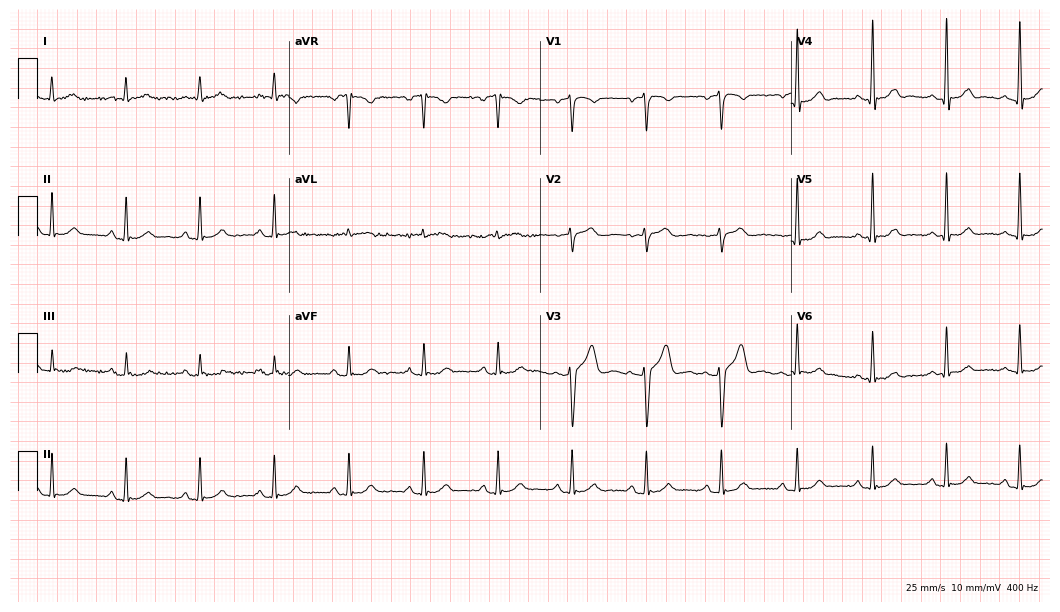
ECG (10.2-second recording at 400 Hz) — a 39-year-old male. Labelled as a normal ECG.